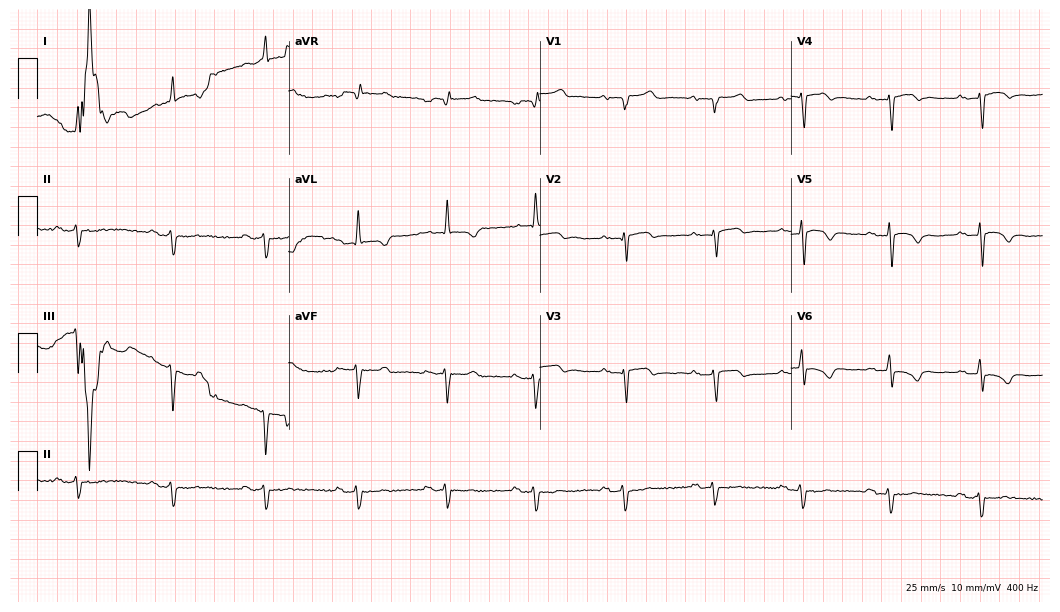
12-lead ECG from a man, 68 years old (10.2-second recording at 400 Hz). No first-degree AV block, right bundle branch block, left bundle branch block, sinus bradycardia, atrial fibrillation or sinus tachycardia recorded for this tracing.